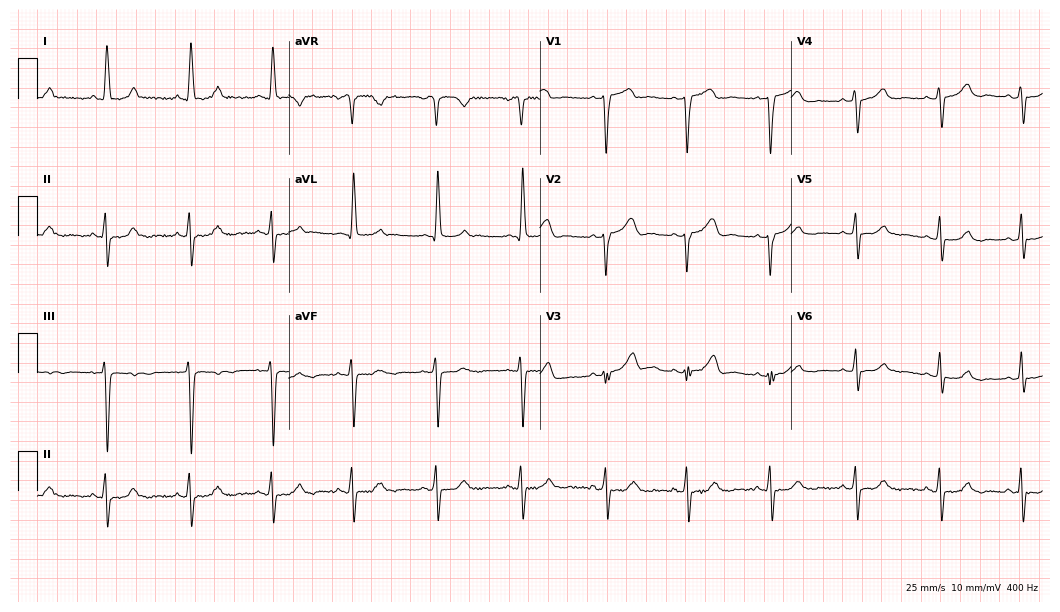
12-lead ECG from a female, 70 years old. Screened for six findings — first-degree AV block, right bundle branch block, left bundle branch block, sinus bradycardia, atrial fibrillation, sinus tachycardia — none is recorded. Findings outside these six are not listed.